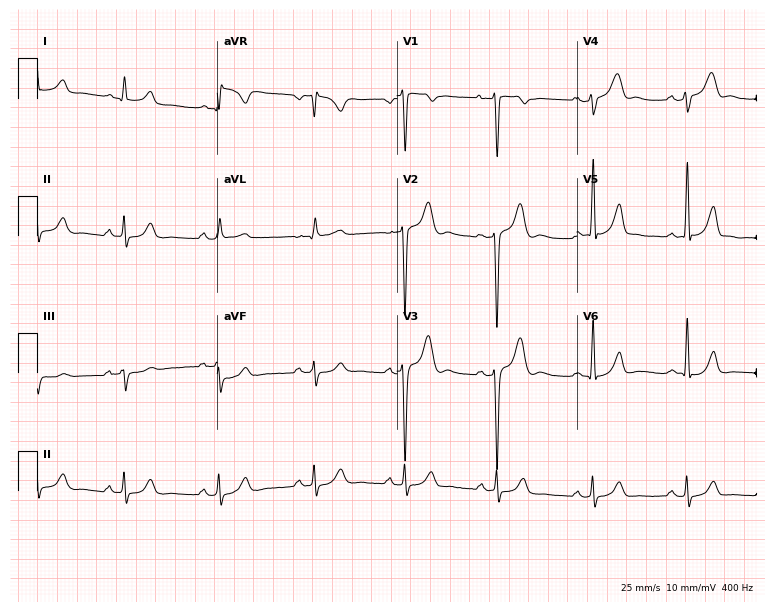
12-lead ECG from a 23-year-old male patient. No first-degree AV block, right bundle branch block, left bundle branch block, sinus bradycardia, atrial fibrillation or sinus tachycardia recorded for this tracing.